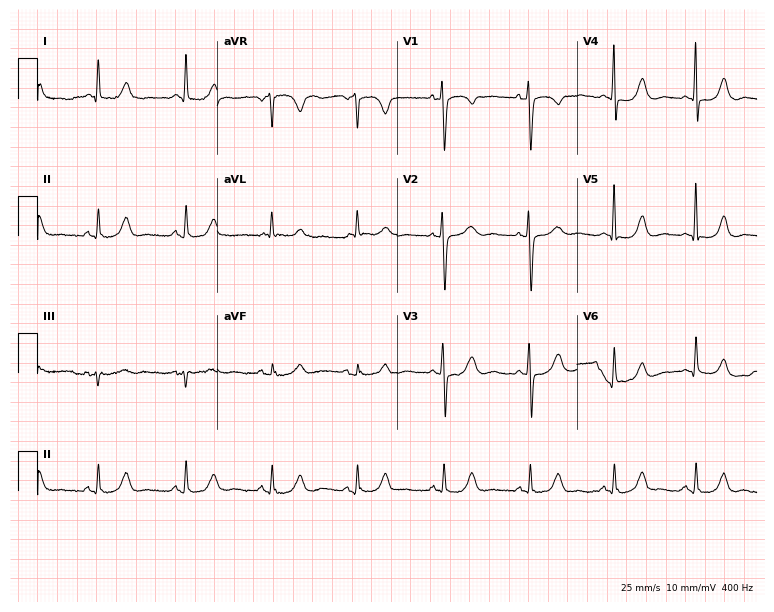
Electrocardiogram (7.3-second recording at 400 Hz), a female, 57 years old. Overall reading on record: normal ECG.